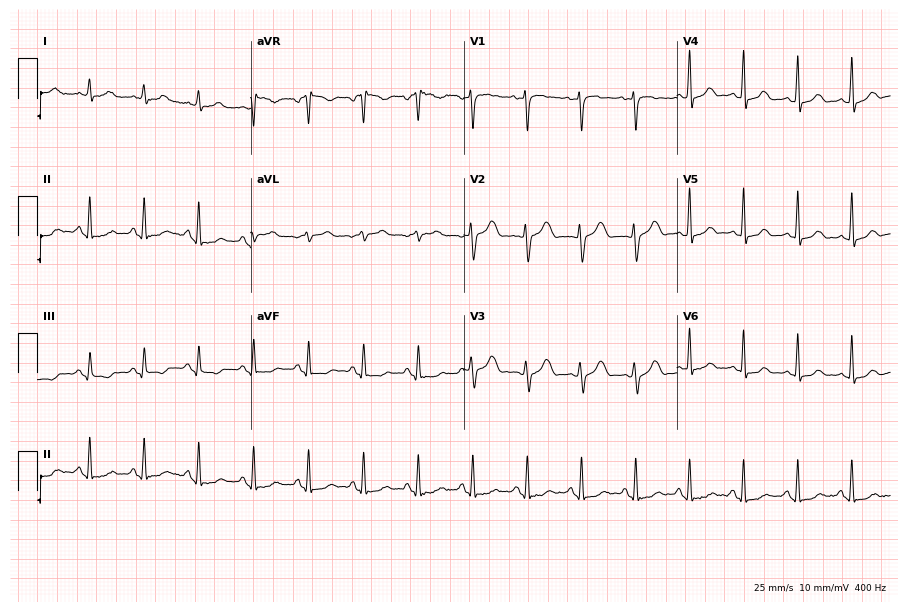
ECG — a 45-year-old woman. Findings include sinus tachycardia (a sinus rate of 100 beats per minute or more).